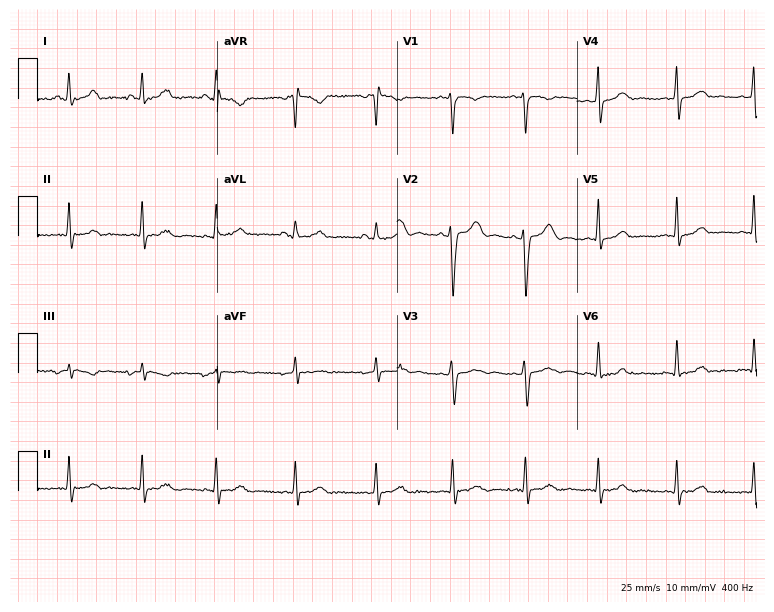
Electrocardiogram (7.3-second recording at 400 Hz), a 26-year-old female. Of the six screened findings (first-degree AV block, right bundle branch block (RBBB), left bundle branch block (LBBB), sinus bradycardia, atrial fibrillation (AF), sinus tachycardia), none is recorded. Other findings, if any, are not listed.